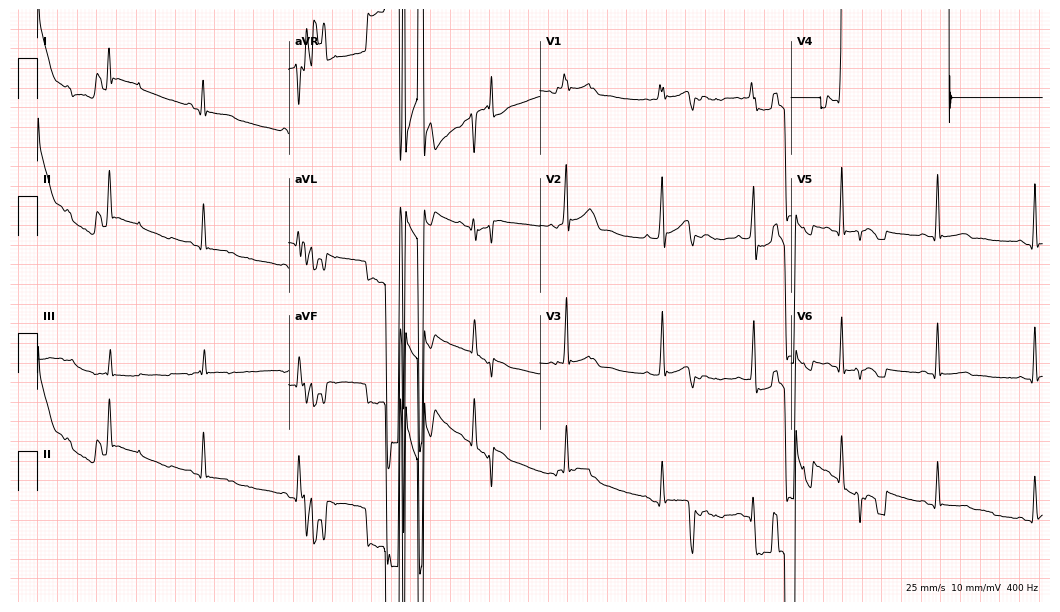
Standard 12-lead ECG recorded from a 31-year-old male (10.2-second recording at 400 Hz). None of these six findings is recorded: first-degree AV block, right bundle branch block, left bundle branch block, sinus bradycardia, atrial fibrillation, sinus tachycardia.